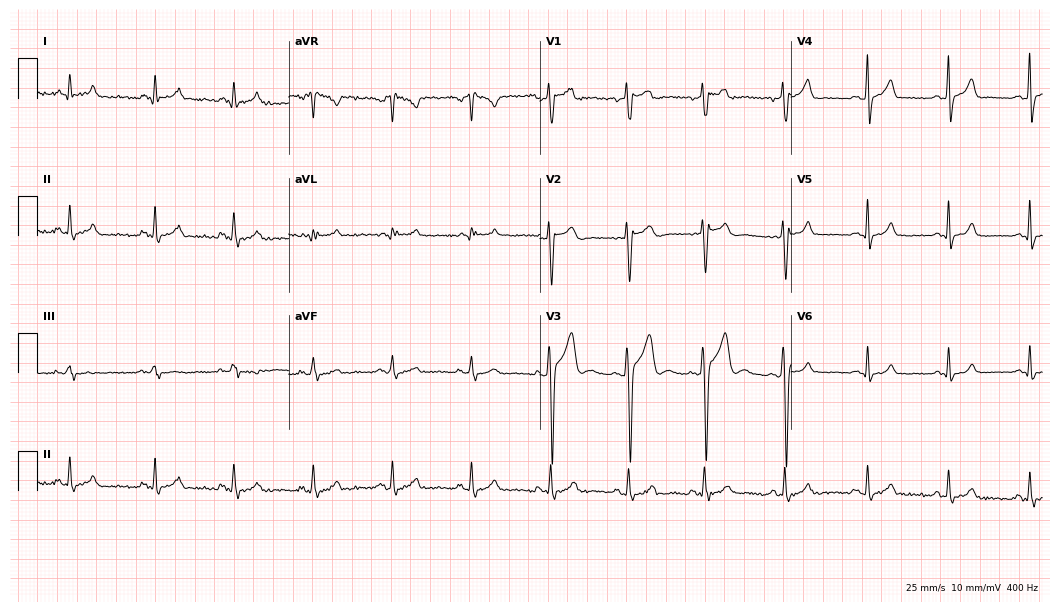
ECG (10.2-second recording at 400 Hz) — a 22-year-old male patient. Labelled as a normal ECG.